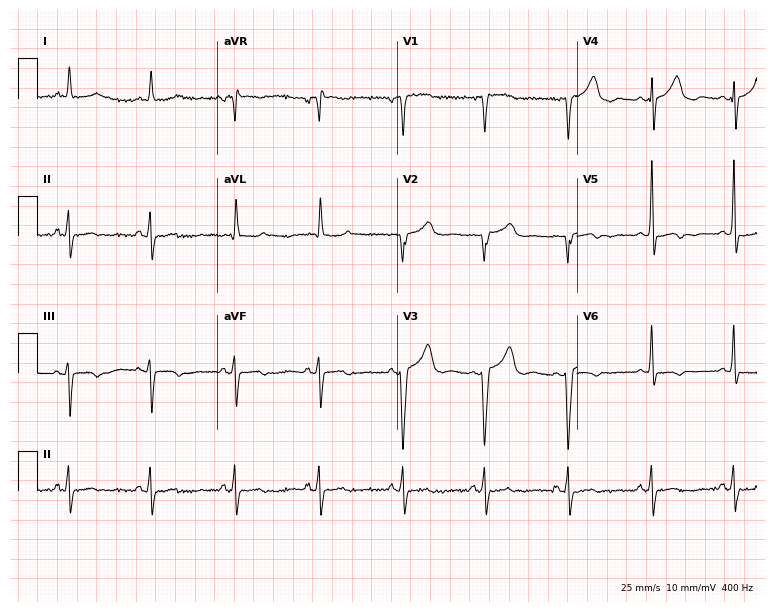
12-lead ECG from a man, 80 years old. Screened for six findings — first-degree AV block, right bundle branch block, left bundle branch block, sinus bradycardia, atrial fibrillation, sinus tachycardia — none is recorded. Other findings, if any, are not listed.